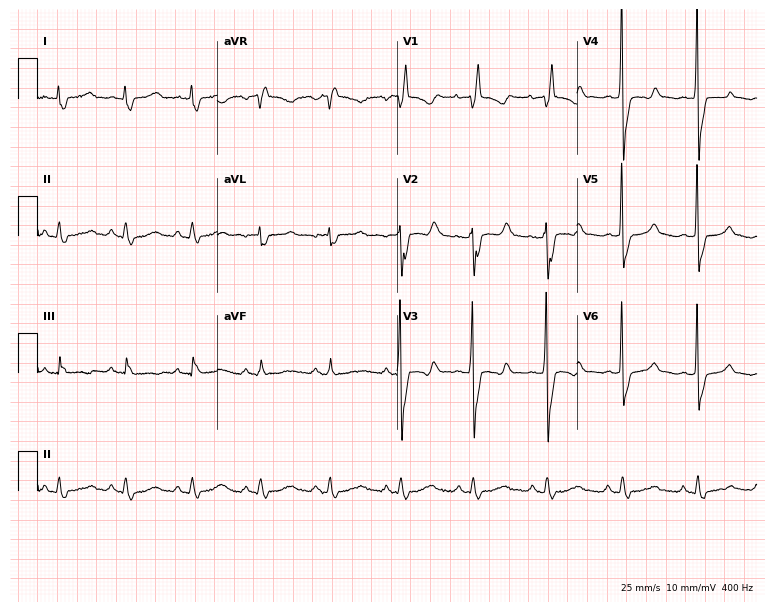
12-lead ECG from a male, 56 years old (7.3-second recording at 400 Hz). Shows right bundle branch block.